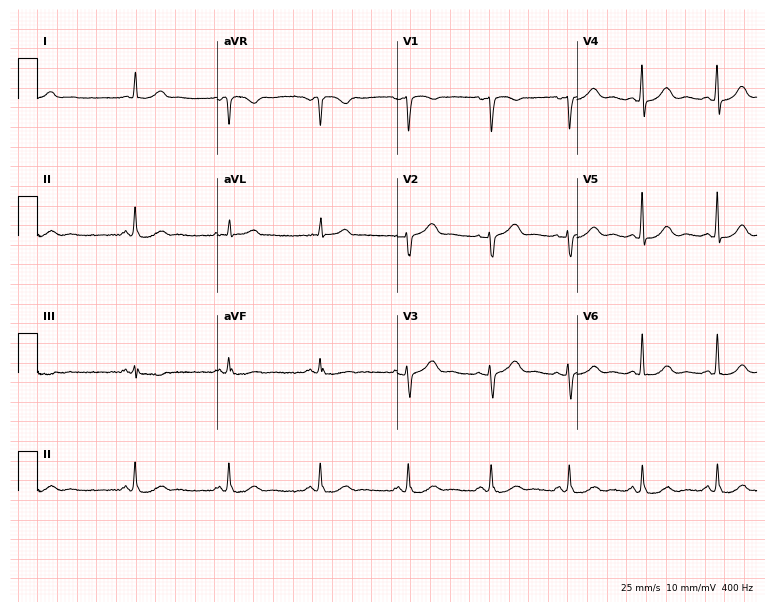
Electrocardiogram, a 61-year-old female patient. Overall reading on record: normal ECG.